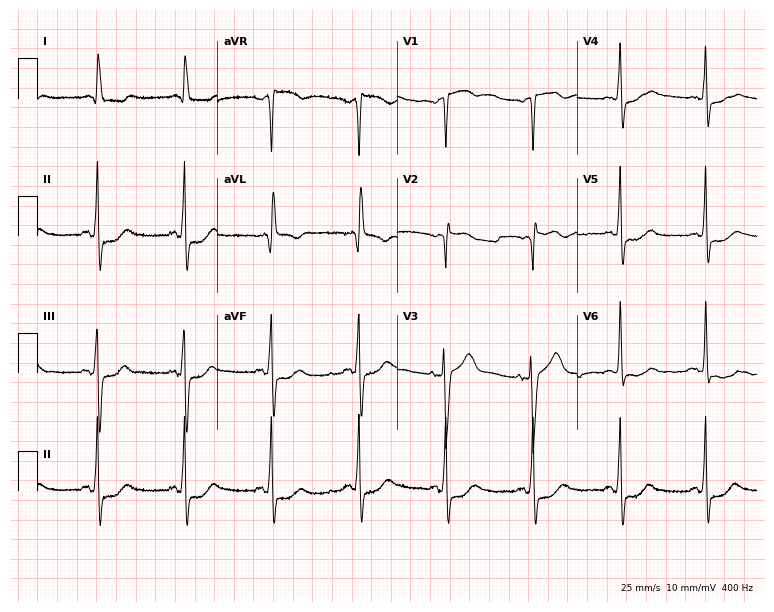
12-lead ECG (7.3-second recording at 400 Hz) from a female, 79 years old. Screened for six findings — first-degree AV block, right bundle branch block, left bundle branch block, sinus bradycardia, atrial fibrillation, sinus tachycardia — none is recorded.